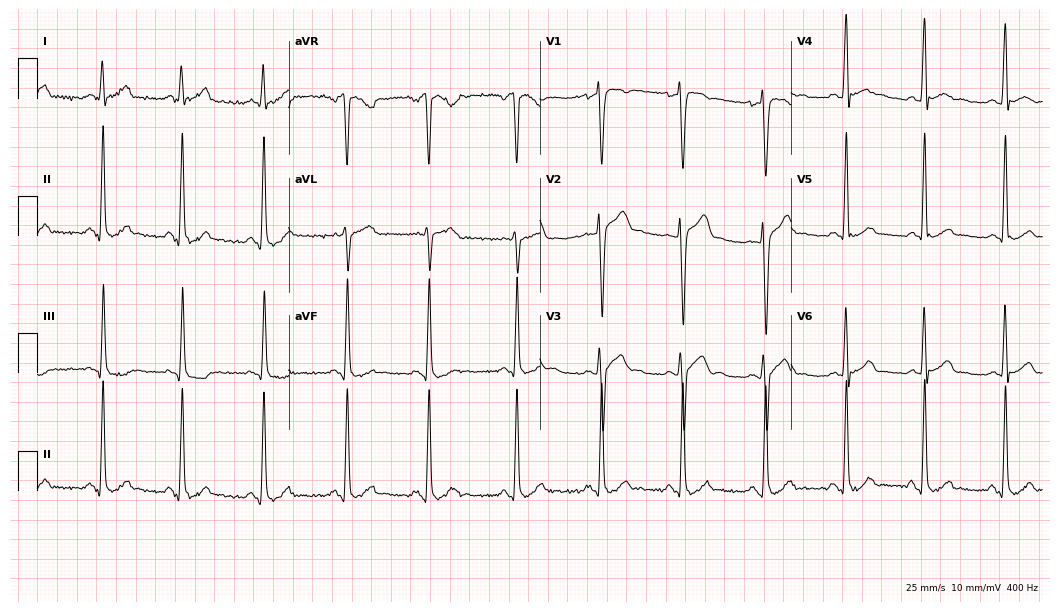
Electrocardiogram (10.2-second recording at 400 Hz), an 18-year-old male. Of the six screened findings (first-degree AV block, right bundle branch block, left bundle branch block, sinus bradycardia, atrial fibrillation, sinus tachycardia), none is recorded. Findings outside these six are not listed.